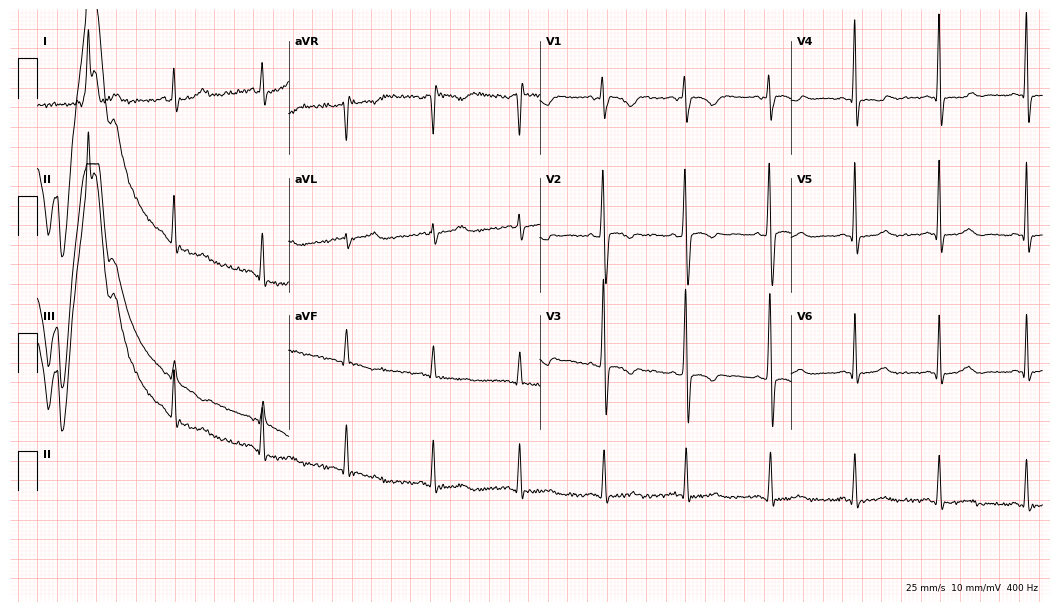
ECG — a female, 39 years old. Screened for six findings — first-degree AV block, right bundle branch block, left bundle branch block, sinus bradycardia, atrial fibrillation, sinus tachycardia — none is recorded.